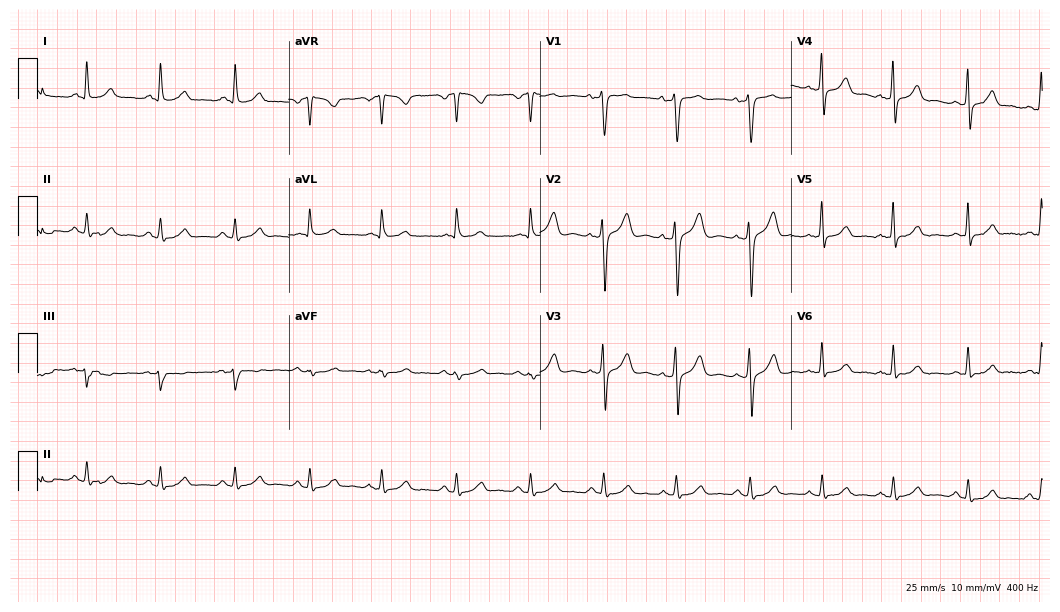
Resting 12-lead electrocardiogram. Patient: a male, 46 years old. None of these six findings is recorded: first-degree AV block, right bundle branch block, left bundle branch block, sinus bradycardia, atrial fibrillation, sinus tachycardia. Findings outside these six are not listed.